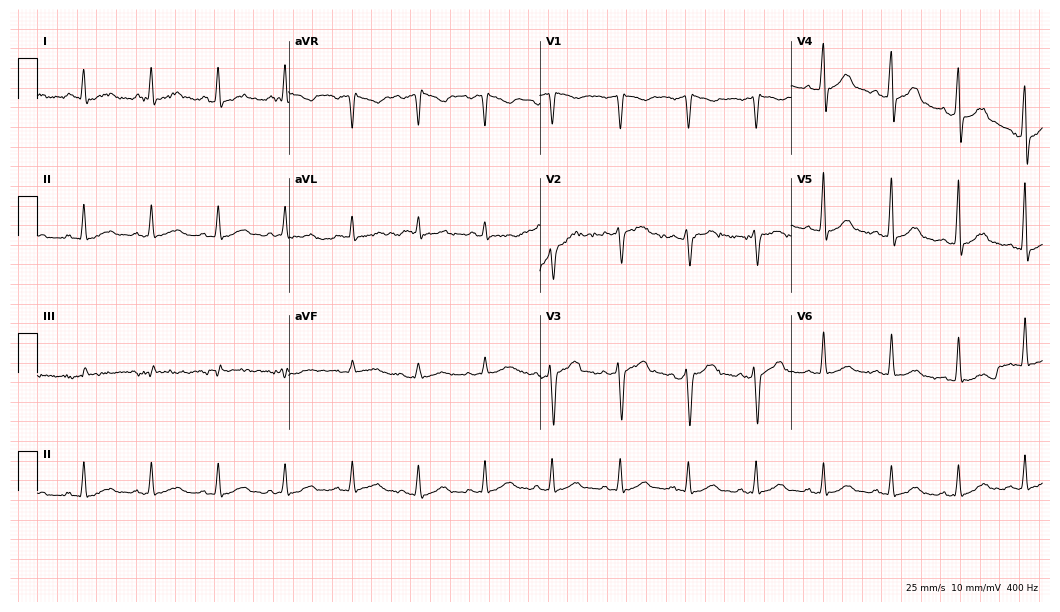
ECG (10.2-second recording at 400 Hz) — a 20-year-old male. Labelled as a normal ECG.